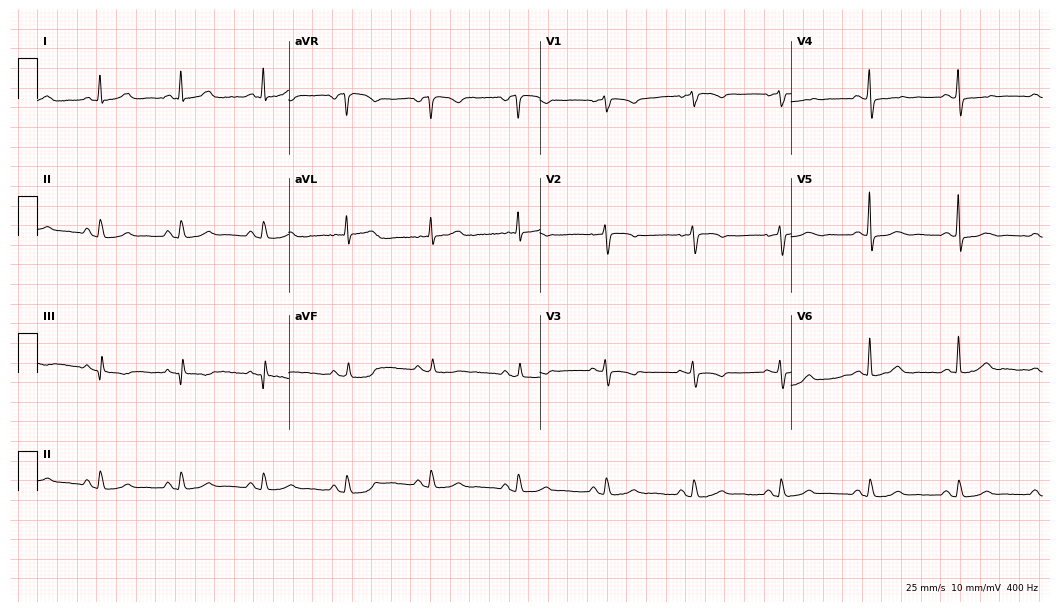
Electrocardiogram, a 62-year-old female. Overall reading on record: normal ECG.